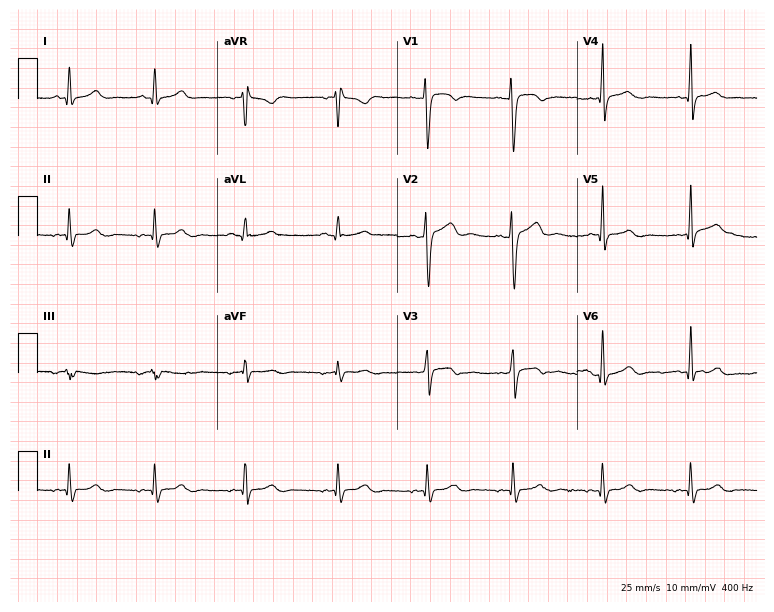
Standard 12-lead ECG recorded from a man, 20 years old (7.3-second recording at 400 Hz). Read as a normal ECG.